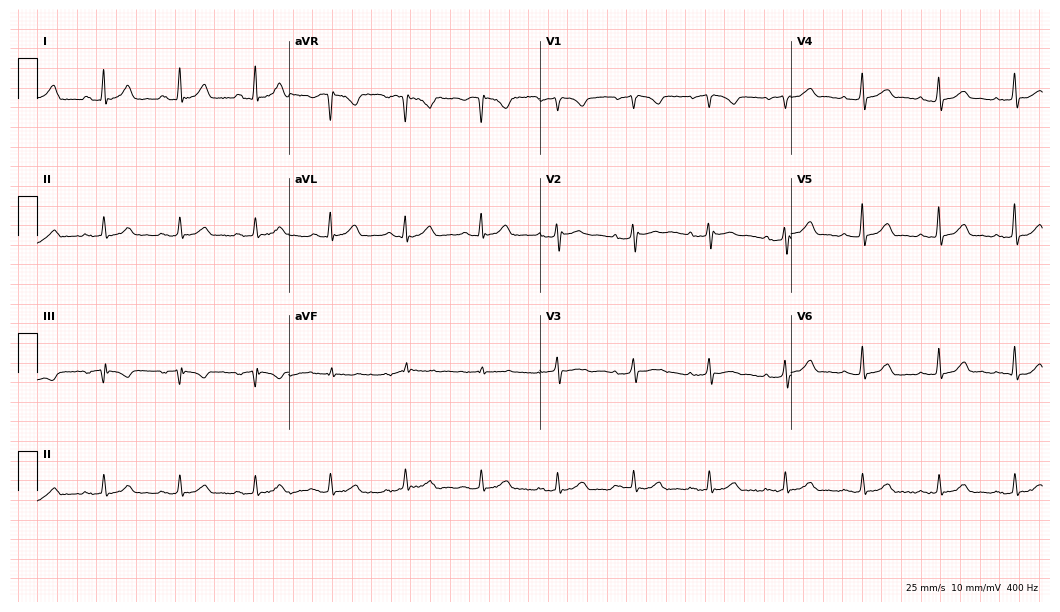
Standard 12-lead ECG recorded from a male patient, 52 years old (10.2-second recording at 400 Hz). Read as a normal ECG.